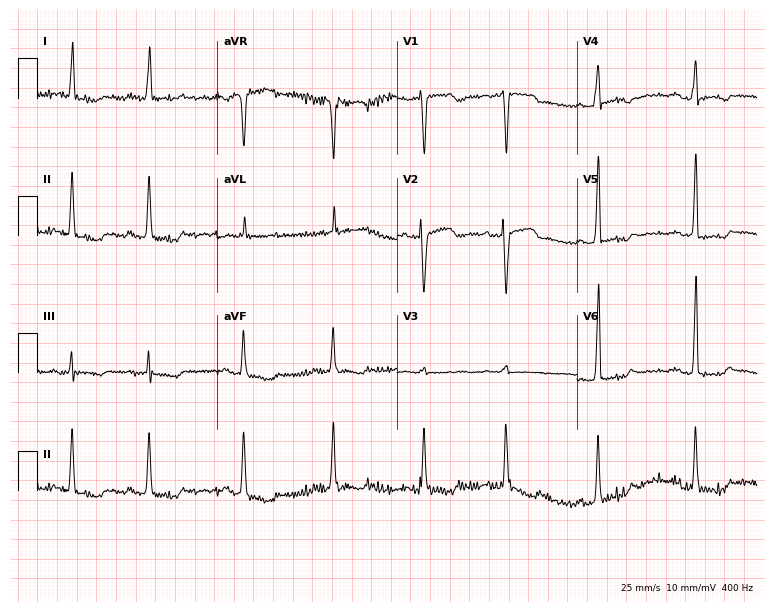
12-lead ECG from a female patient, 83 years old. Screened for six findings — first-degree AV block, right bundle branch block, left bundle branch block, sinus bradycardia, atrial fibrillation, sinus tachycardia — none is recorded. Other findings, if any, are not listed.